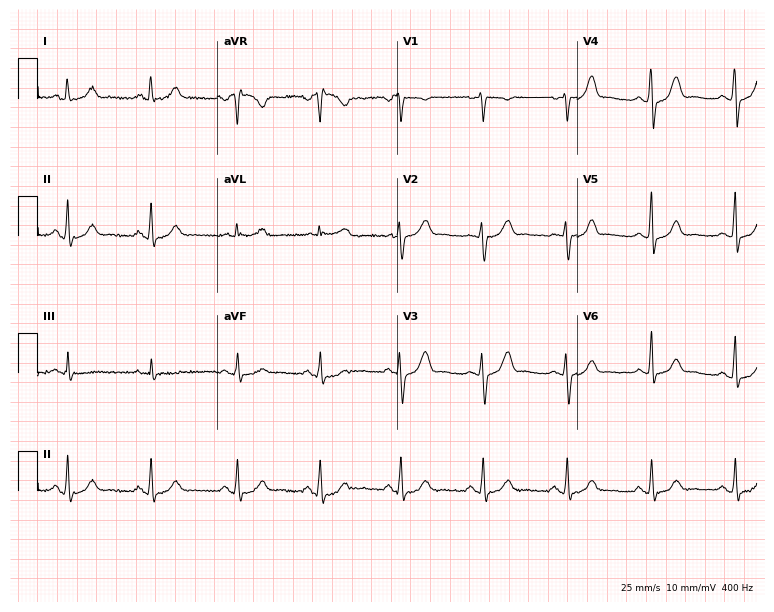
ECG — a female, 18 years old. Labelled as a normal ECG.